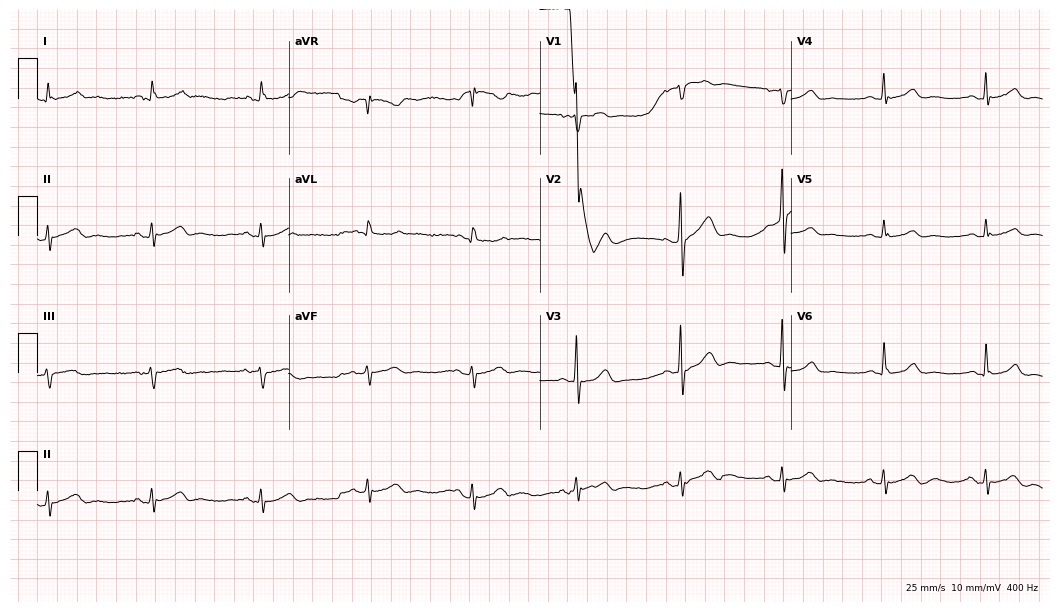
Electrocardiogram, a 50-year-old man. Of the six screened findings (first-degree AV block, right bundle branch block, left bundle branch block, sinus bradycardia, atrial fibrillation, sinus tachycardia), none is recorded.